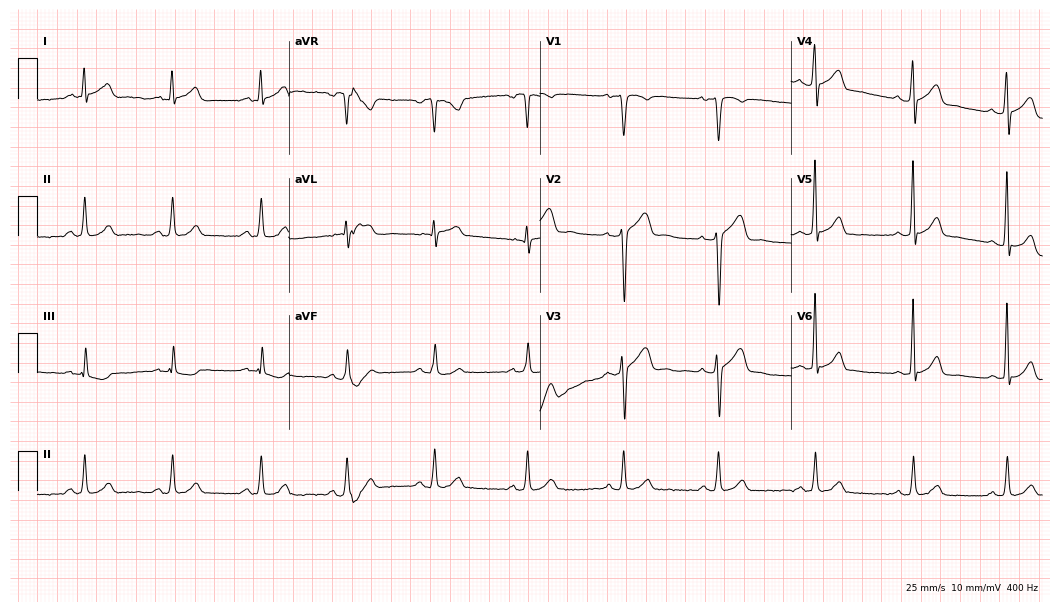
Standard 12-lead ECG recorded from a male, 37 years old (10.2-second recording at 400 Hz). None of these six findings is recorded: first-degree AV block, right bundle branch block, left bundle branch block, sinus bradycardia, atrial fibrillation, sinus tachycardia. Other findings, if any, are not listed.